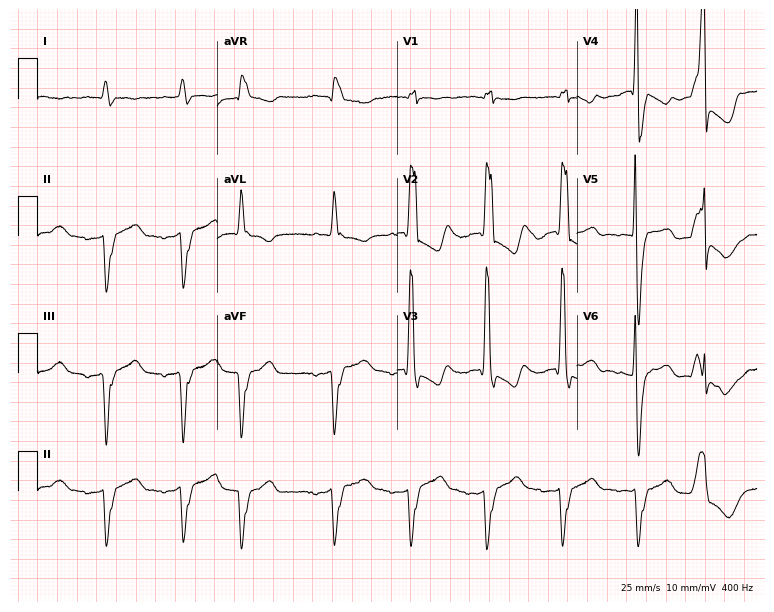
12-lead ECG from an 82-year-old woman. Shows right bundle branch block, atrial fibrillation.